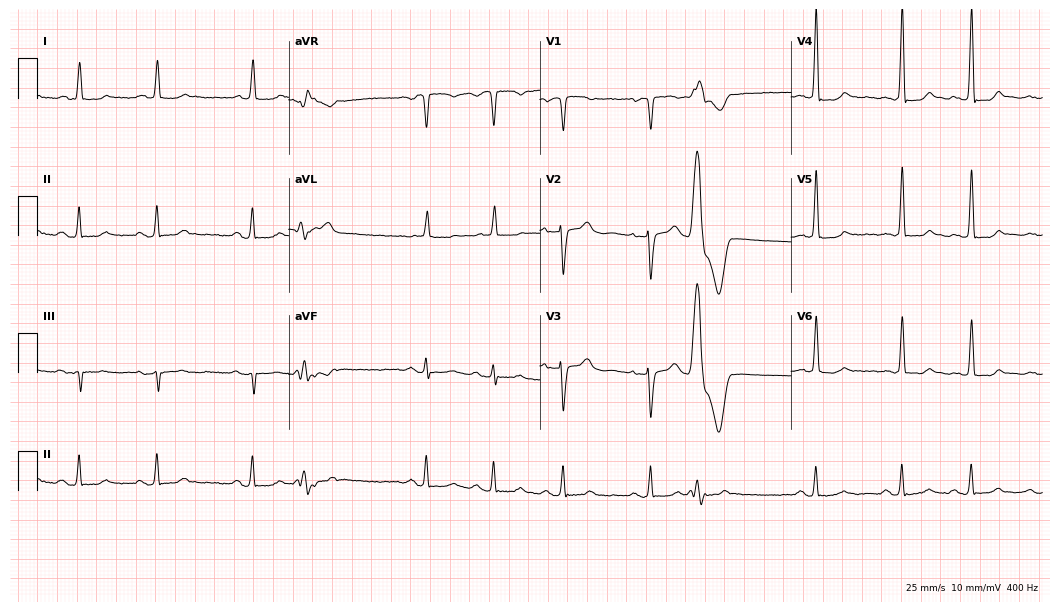
Electrocardiogram, a 68-year-old woman. Overall reading on record: normal ECG.